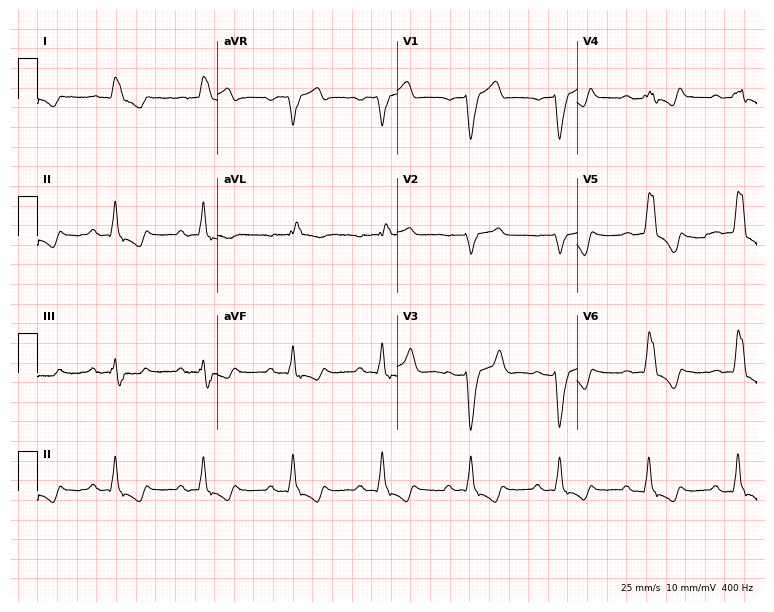
12-lead ECG from a man, 83 years old. Shows left bundle branch block.